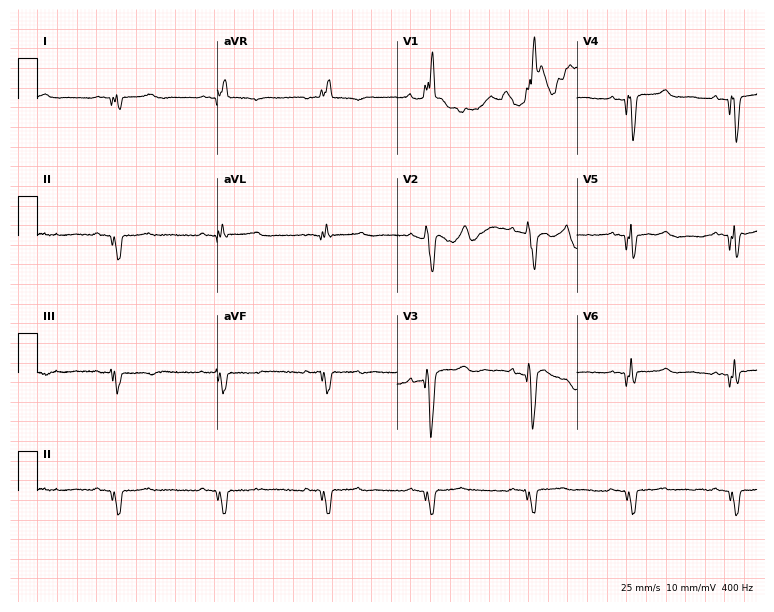
Resting 12-lead electrocardiogram (7.3-second recording at 400 Hz). Patient: a 62-year-old male. None of these six findings is recorded: first-degree AV block, right bundle branch block, left bundle branch block, sinus bradycardia, atrial fibrillation, sinus tachycardia. Only these six findings were labelled.